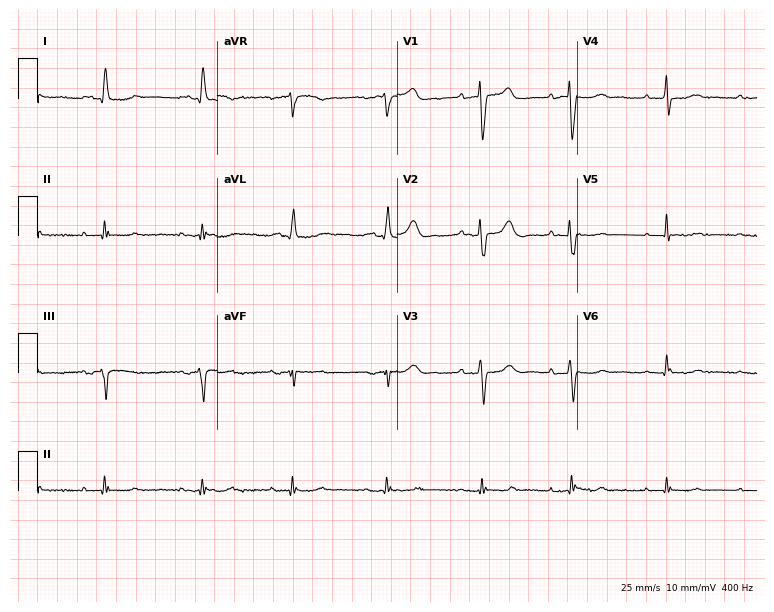
Electrocardiogram (7.3-second recording at 400 Hz), a 76-year-old male patient. Of the six screened findings (first-degree AV block, right bundle branch block, left bundle branch block, sinus bradycardia, atrial fibrillation, sinus tachycardia), none is recorded. Findings outside these six are not listed.